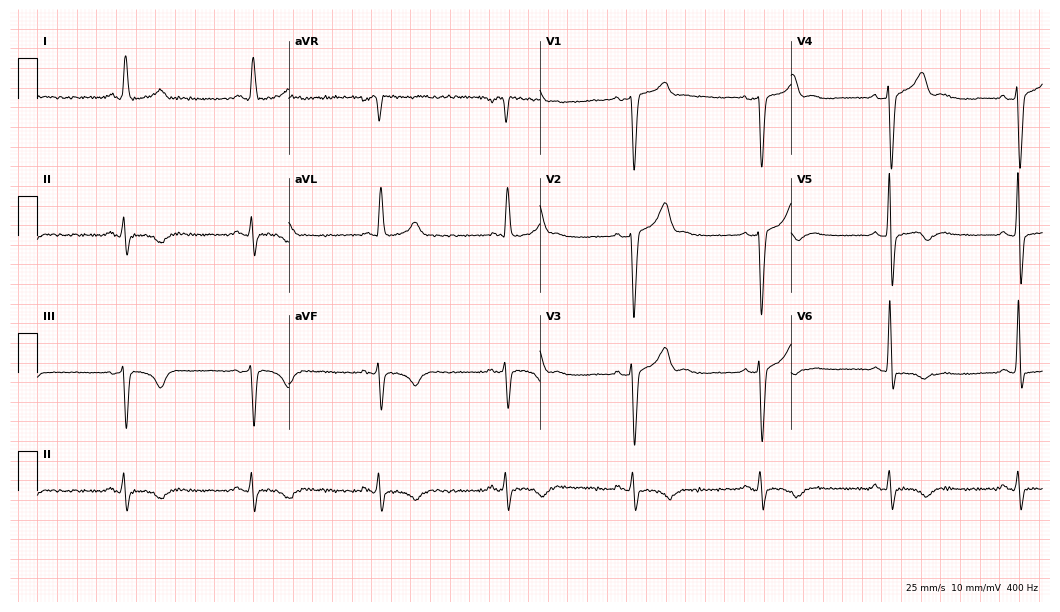
Electrocardiogram, a man, 62 years old. Interpretation includes sinus bradycardia (a sinus rate of 50 beats per minute or less).